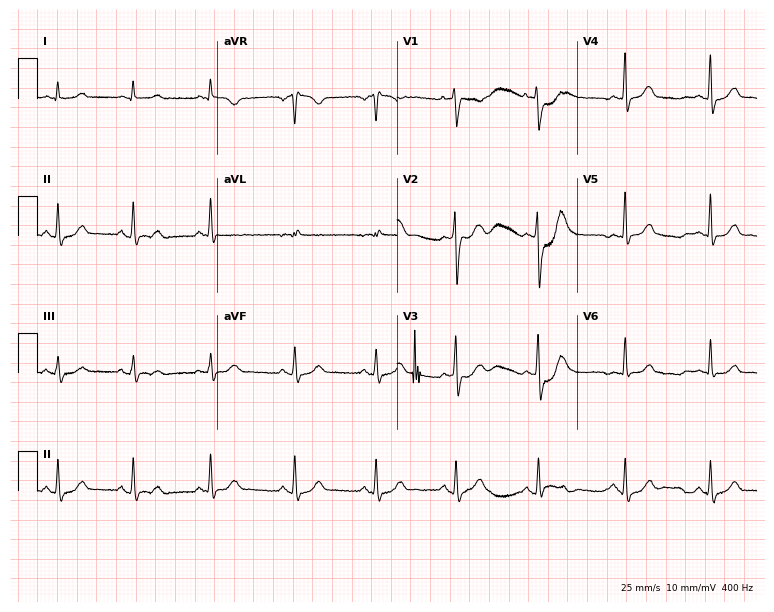
ECG — a female patient, 33 years old. Labelled as a normal ECG.